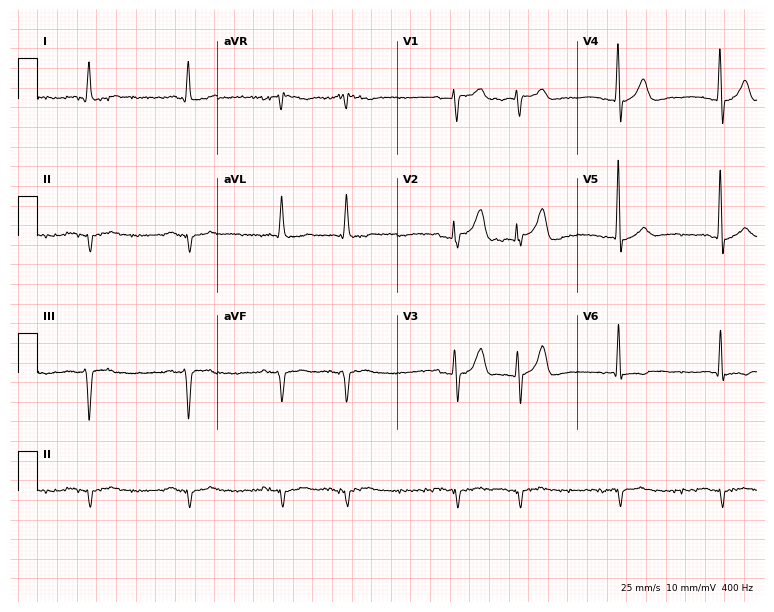
Resting 12-lead electrocardiogram (7.3-second recording at 400 Hz). Patient: a male, 76 years old. None of these six findings is recorded: first-degree AV block, right bundle branch block, left bundle branch block, sinus bradycardia, atrial fibrillation, sinus tachycardia.